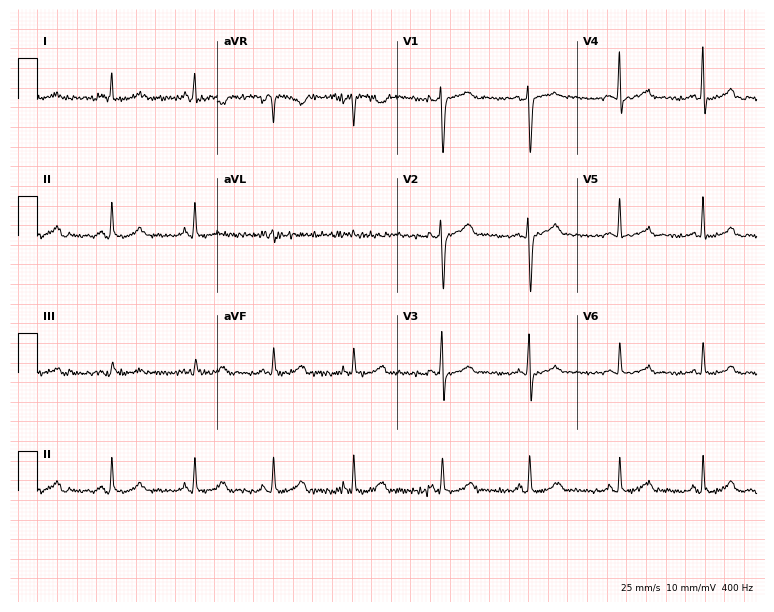
Electrocardiogram (7.3-second recording at 400 Hz), a female patient, 34 years old. Overall reading on record: normal ECG.